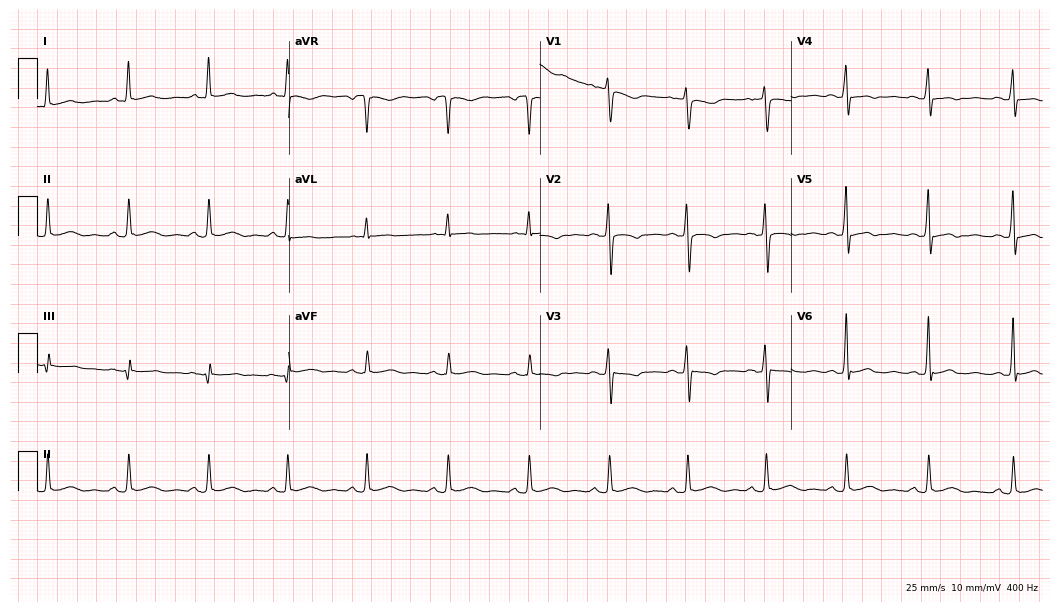
Standard 12-lead ECG recorded from a 51-year-old female. None of these six findings is recorded: first-degree AV block, right bundle branch block (RBBB), left bundle branch block (LBBB), sinus bradycardia, atrial fibrillation (AF), sinus tachycardia.